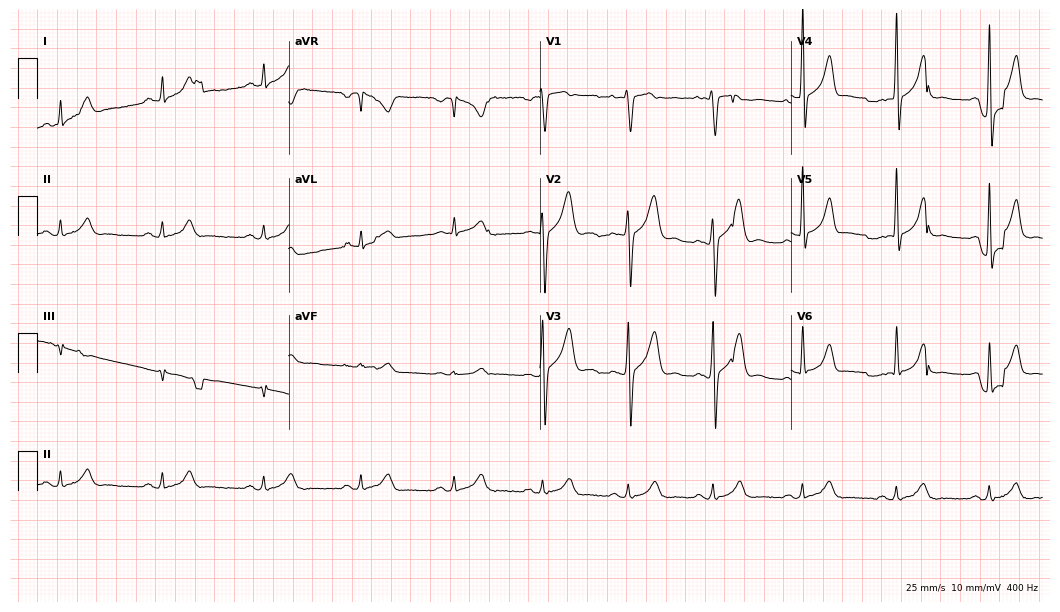
12-lead ECG from a 30-year-old male patient (10.2-second recording at 400 Hz). Recorded interpretation: within normal limits.